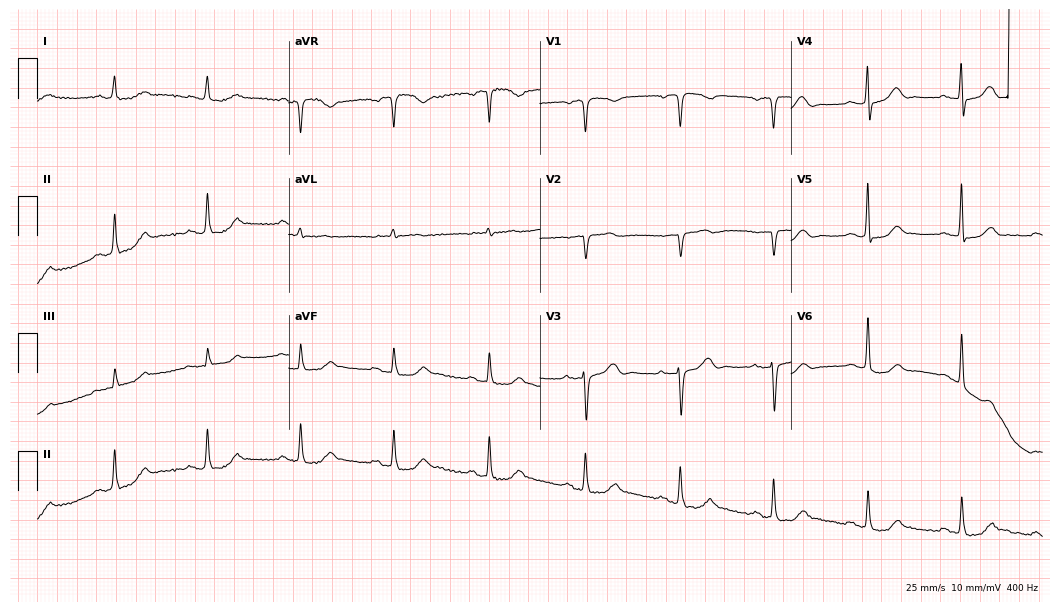
Electrocardiogram (10.2-second recording at 400 Hz), a 77-year-old woman. Overall reading on record: normal ECG.